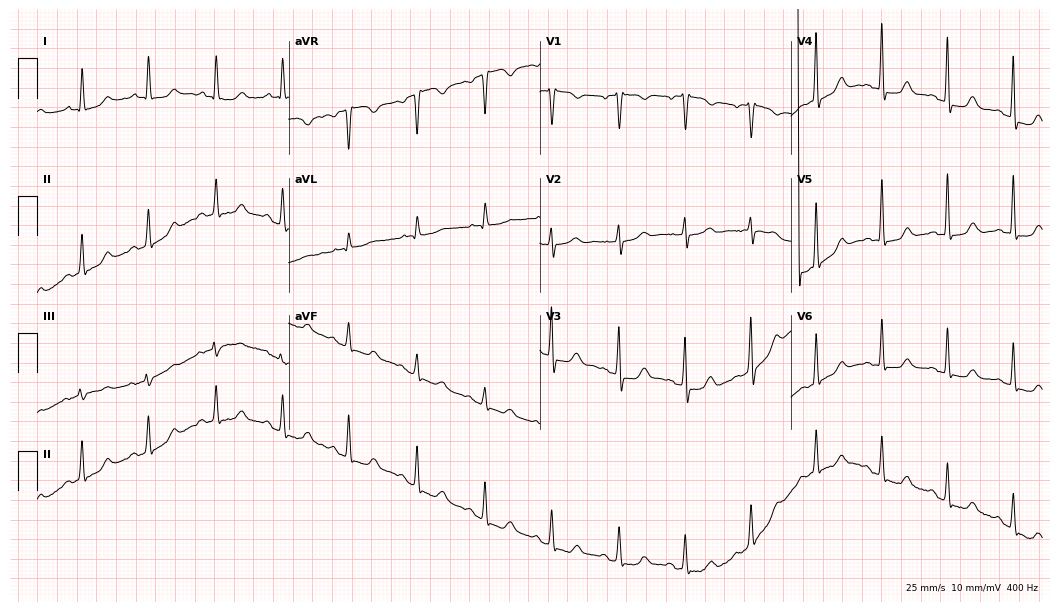
Resting 12-lead electrocardiogram. Patient: an 81-year-old female. None of these six findings is recorded: first-degree AV block, right bundle branch block, left bundle branch block, sinus bradycardia, atrial fibrillation, sinus tachycardia.